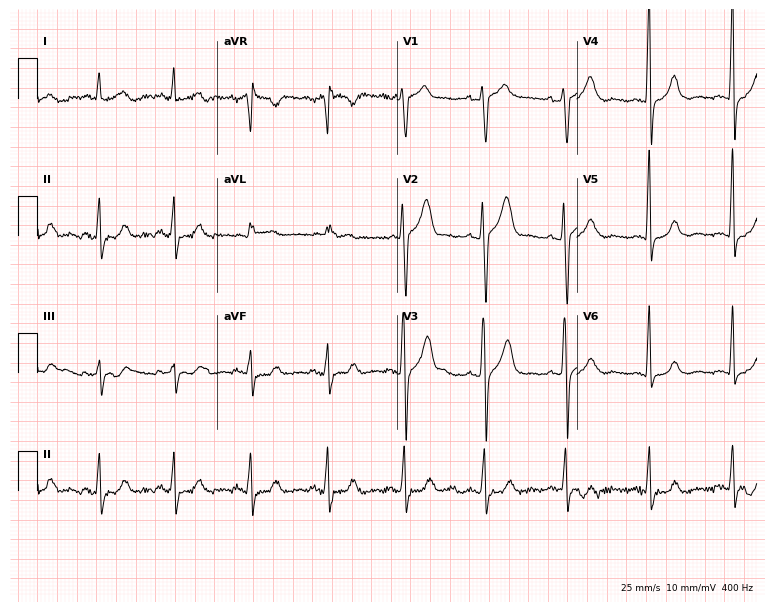
12-lead ECG from a 48-year-old female patient. No first-degree AV block, right bundle branch block, left bundle branch block, sinus bradycardia, atrial fibrillation or sinus tachycardia recorded for this tracing. Other findings, if any, are not listed.